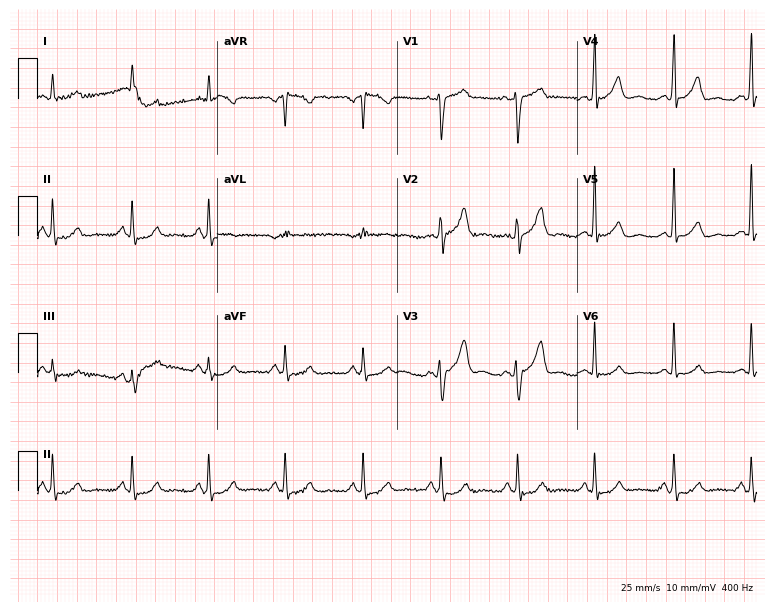
Standard 12-lead ECG recorded from a man, 54 years old (7.3-second recording at 400 Hz). Read as a normal ECG.